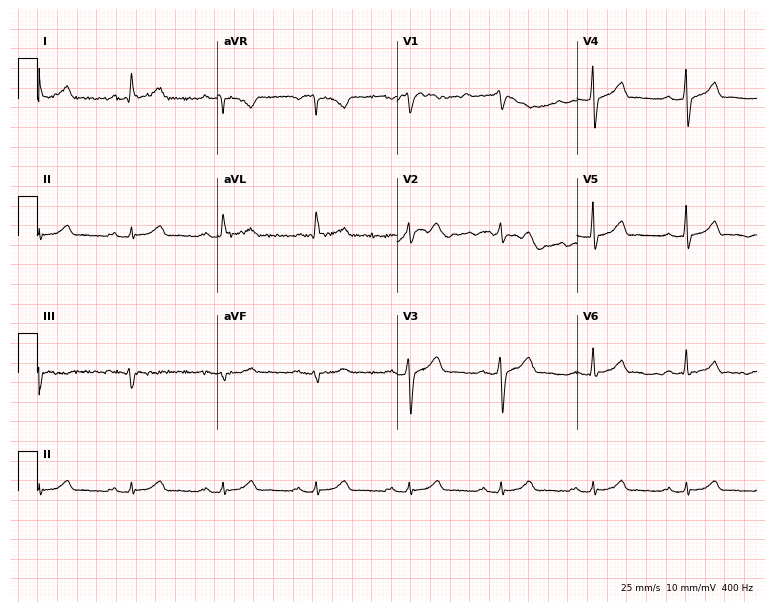
Standard 12-lead ECG recorded from a male, 58 years old. None of these six findings is recorded: first-degree AV block, right bundle branch block, left bundle branch block, sinus bradycardia, atrial fibrillation, sinus tachycardia. Findings outside these six are not listed.